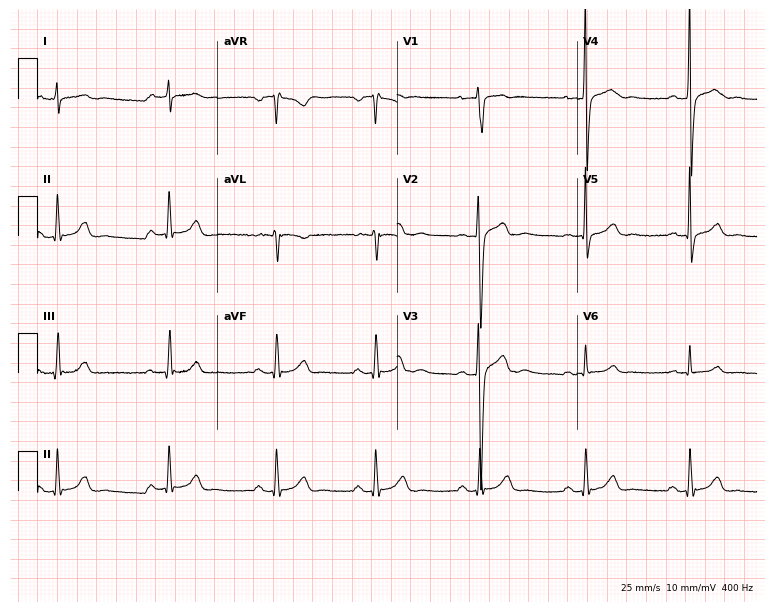
12-lead ECG from a man, 29 years old. No first-degree AV block, right bundle branch block, left bundle branch block, sinus bradycardia, atrial fibrillation or sinus tachycardia recorded for this tracing.